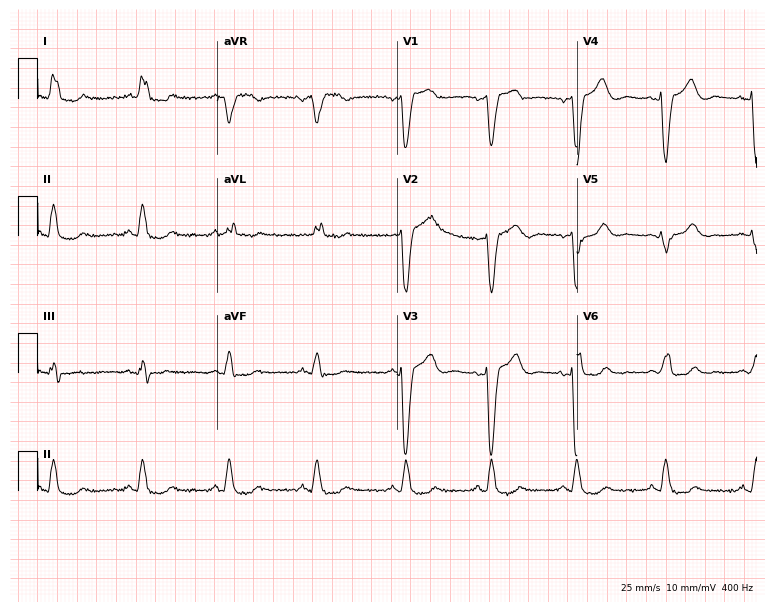
ECG — a female patient, 57 years old. Findings include left bundle branch block (LBBB).